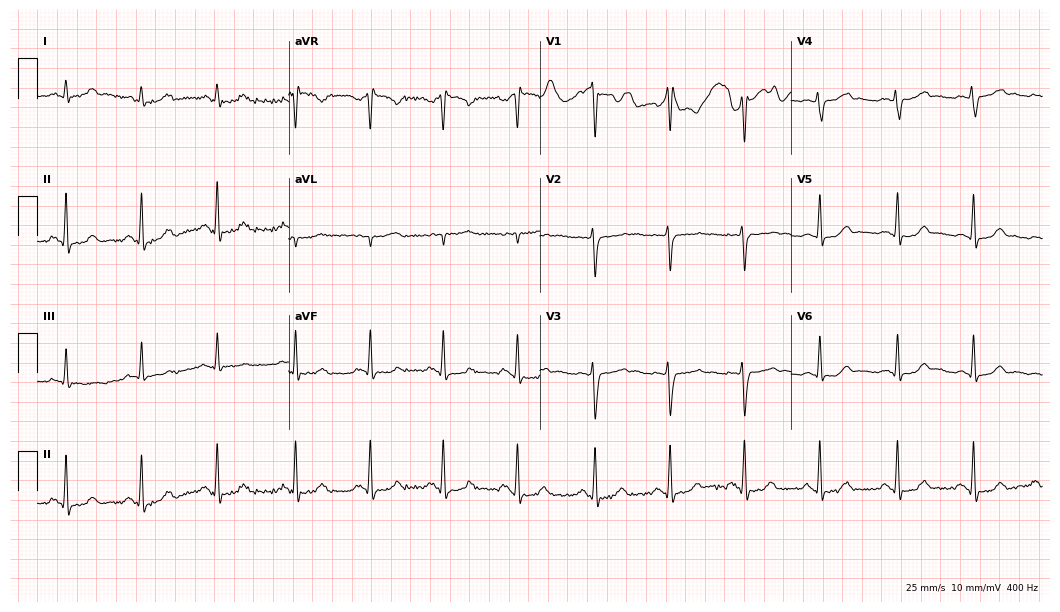
ECG — a 20-year-old female. Screened for six findings — first-degree AV block, right bundle branch block (RBBB), left bundle branch block (LBBB), sinus bradycardia, atrial fibrillation (AF), sinus tachycardia — none is recorded. Findings outside these six are not listed.